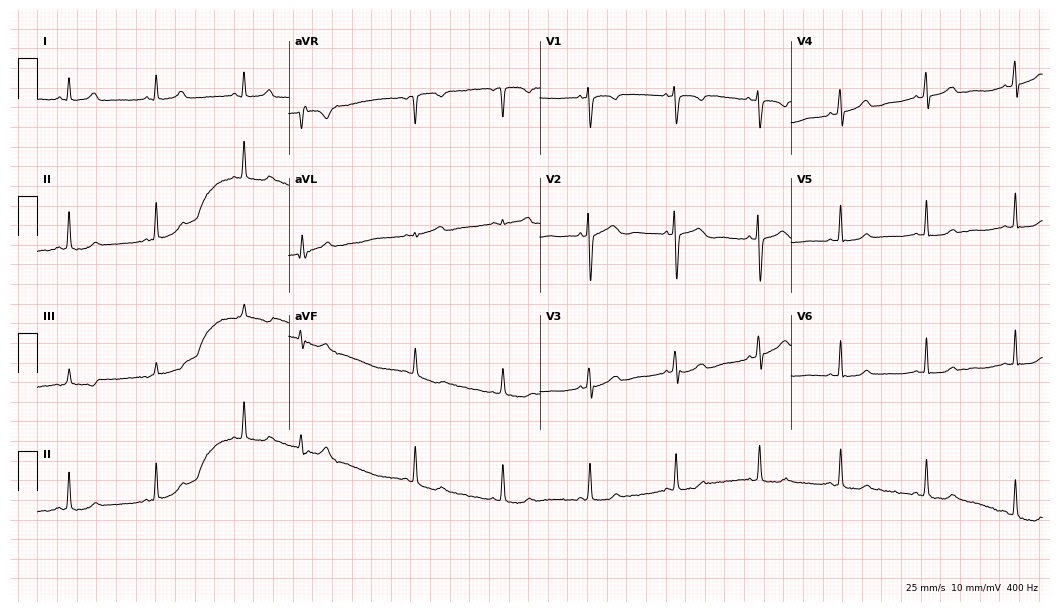
Resting 12-lead electrocardiogram (10.2-second recording at 400 Hz). Patient: a male, 23 years old. None of these six findings is recorded: first-degree AV block, right bundle branch block, left bundle branch block, sinus bradycardia, atrial fibrillation, sinus tachycardia.